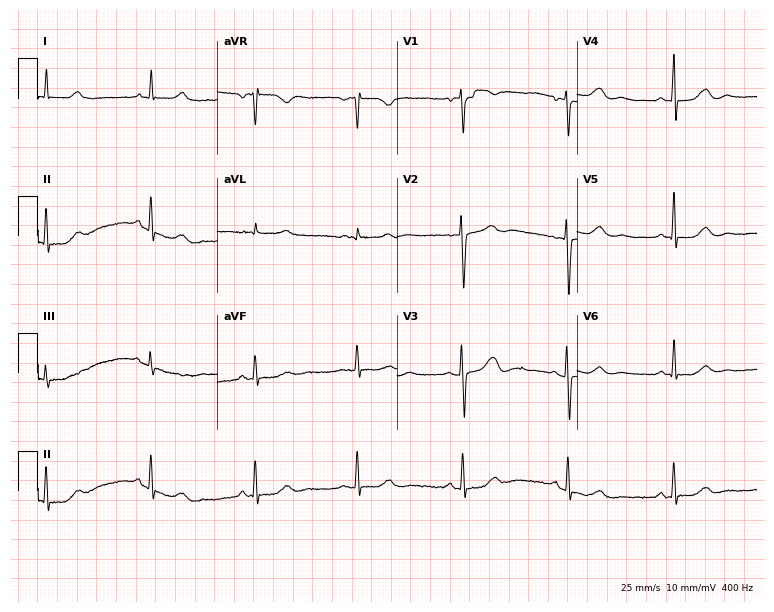
12-lead ECG from a woman, 56 years old (7.3-second recording at 400 Hz). Recorded interpretation: within normal limits.